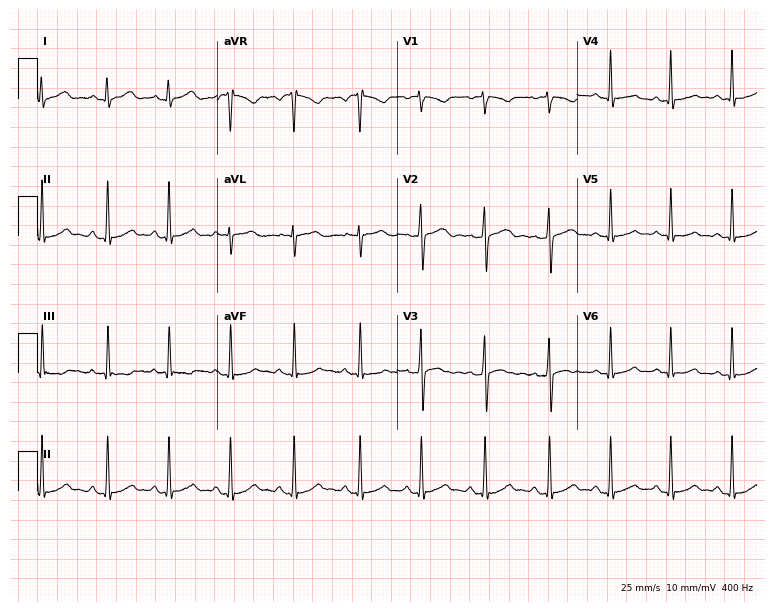
ECG — a 22-year-old woman. Labelled as a normal ECG.